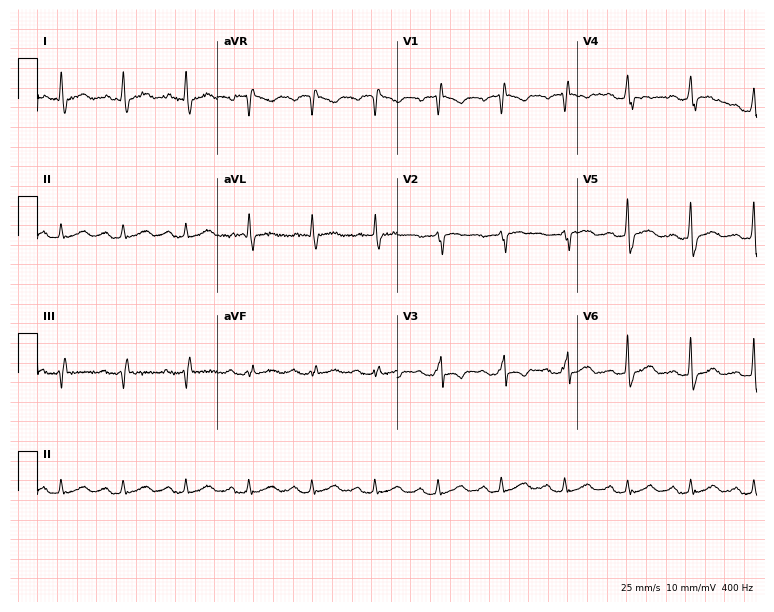
Resting 12-lead electrocardiogram (7.3-second recording at 400 Hz). Patient: a male, 71 years old. None of these six findings is recorded: first-degree AV block, right bundle branch block, left bundle branch block, sinus bradycardia, atrial fibrillation, sinus tachycardia. Only these six findings were labelled.